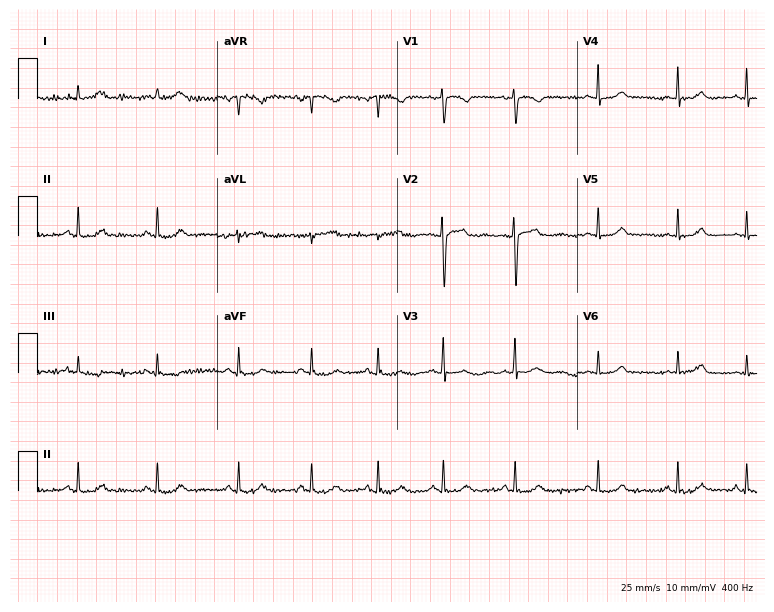
12-lead ECG from a female, 20 years old. Recorded interpretation: within normal limits.